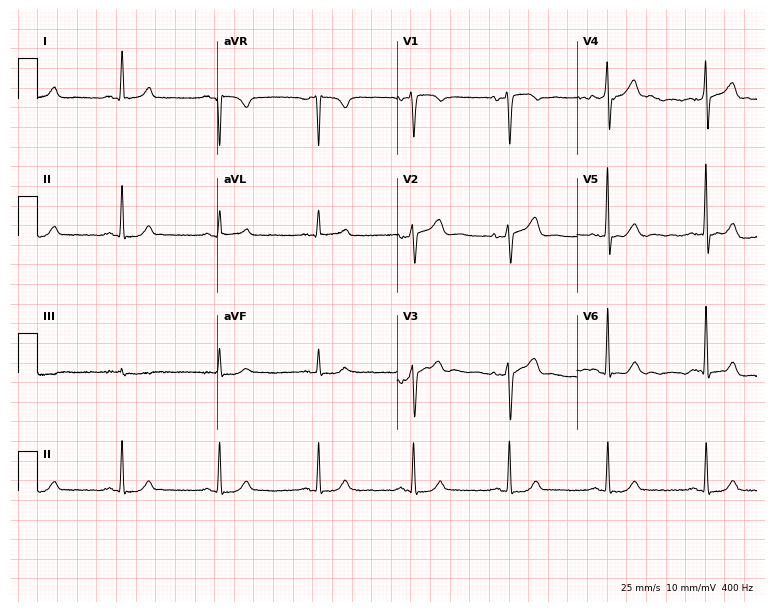
Electrocardiogram, a 59-year-old woman. Of the six screened findings (first-degree AV block, right bundle branch block, left bundle branch block, sinus bradycardia, atrial fibrillation, sinus tachycardia), none is recorded.